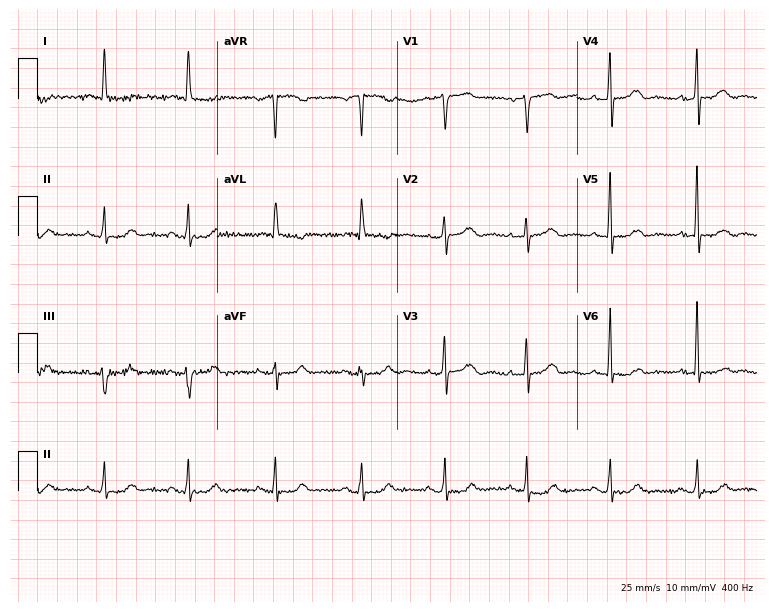
12-lead ECG from a 68-year-old woman. Recorded interpretation: within normal limits.